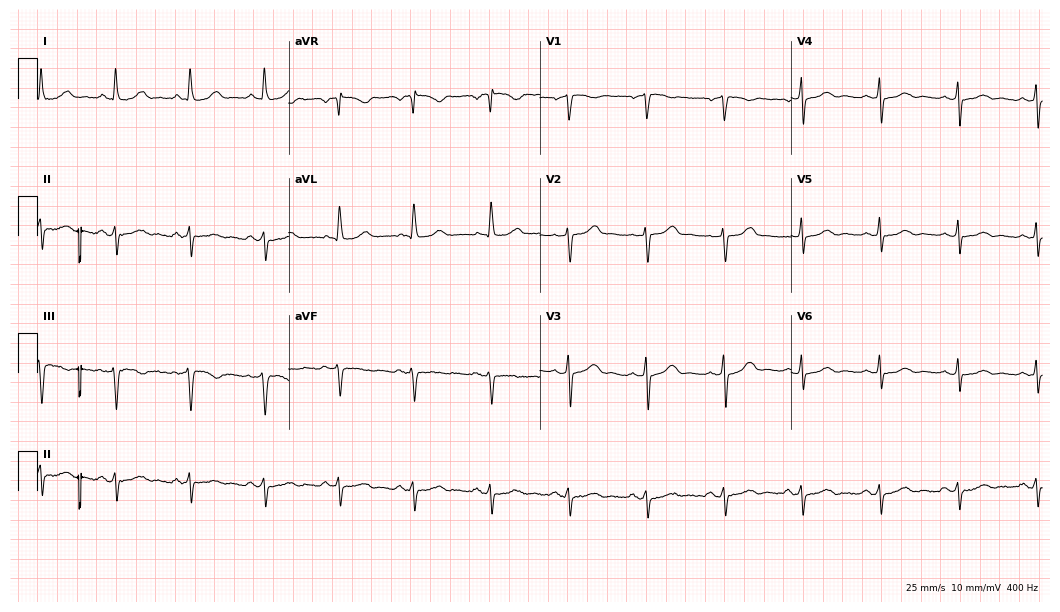
Electrocardiogram (10.2-second recording at 400 Hz), a 53-year-old woman. Of the six screened findings (first-degree AV block, right bundle branch block, left bundle branch block, sinus bradycardia, atrial fibrillation, sinus tachycardia), none is recorded. Findings outside these six are not listed.